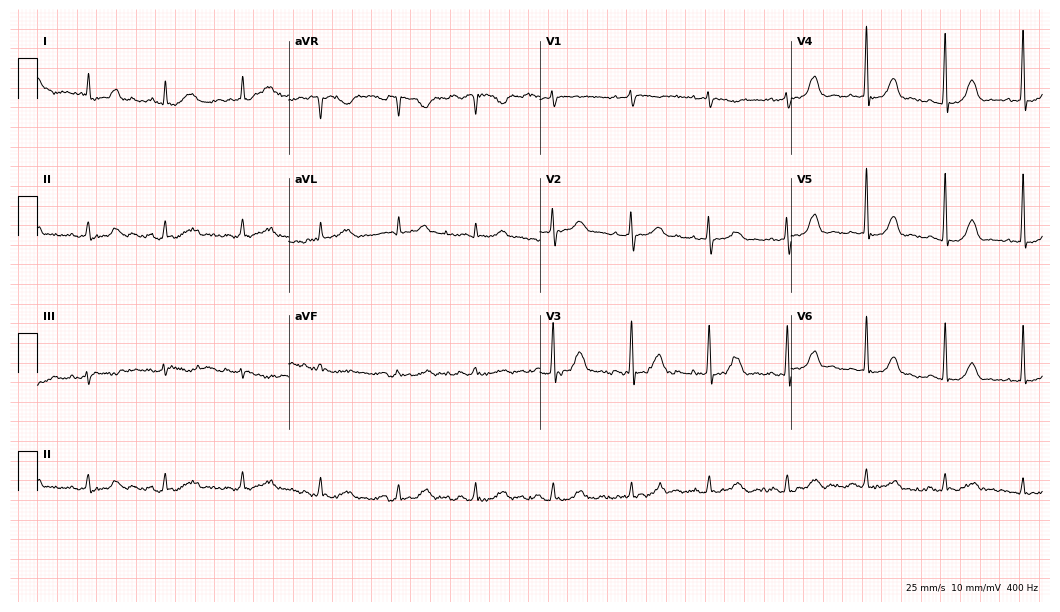
Electrocardiogram (10.2-second recording at 400 Hz), a female patient, 81 years old. Of the six screened findings (first-degree AV block, right bundle branch block (RBBB), left bundle branch block (LBBB), sinus bradycardia, atrial fibrillation (AF), sinus tachycardia), none is recorded.